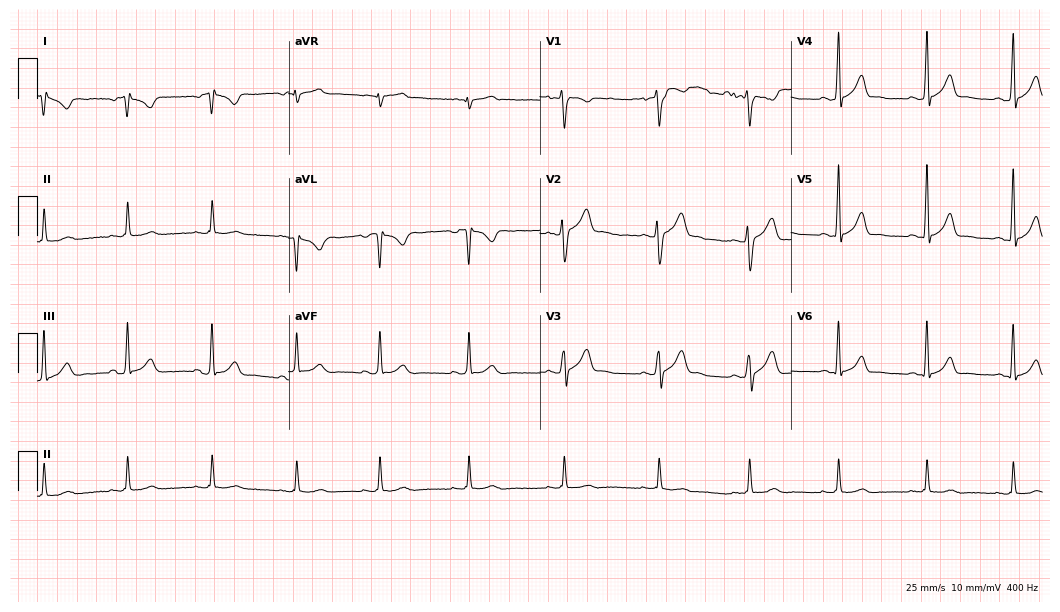
ECG (10.2-second recording at 400 Hz) — a male patient, 28 years old. Screened for six findings — first-degree AV block, right bundle branch block (RBBB), left bundle branch block (LBBB), sinus bradycardia, atrial fibrillation (AF), sinus tachycardia — none is recorded.